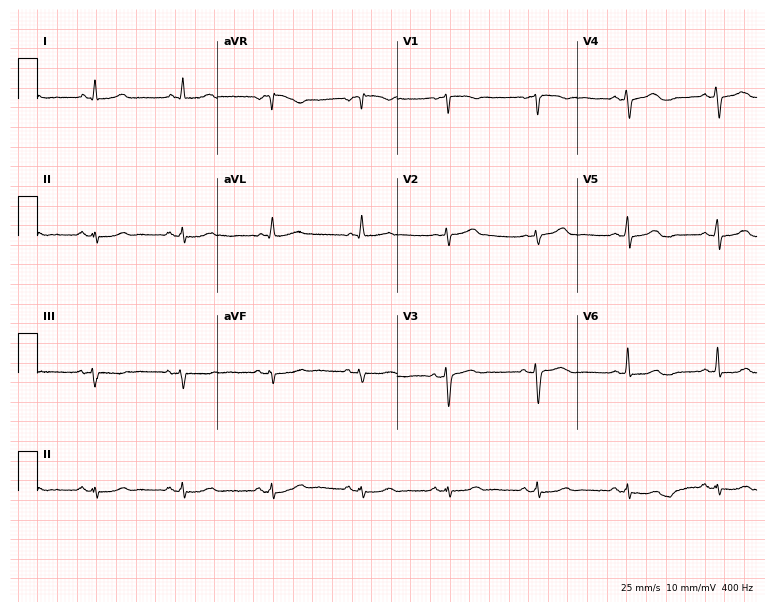
Resting 12-lead electrocardiogram. Patient: a 65-year-old female. None of these six findings is recorded: first-degree AV block, right bundle branch block, left bundle branch block, sinus bradycardia, atrial fibrillation, sinus tachycardia.